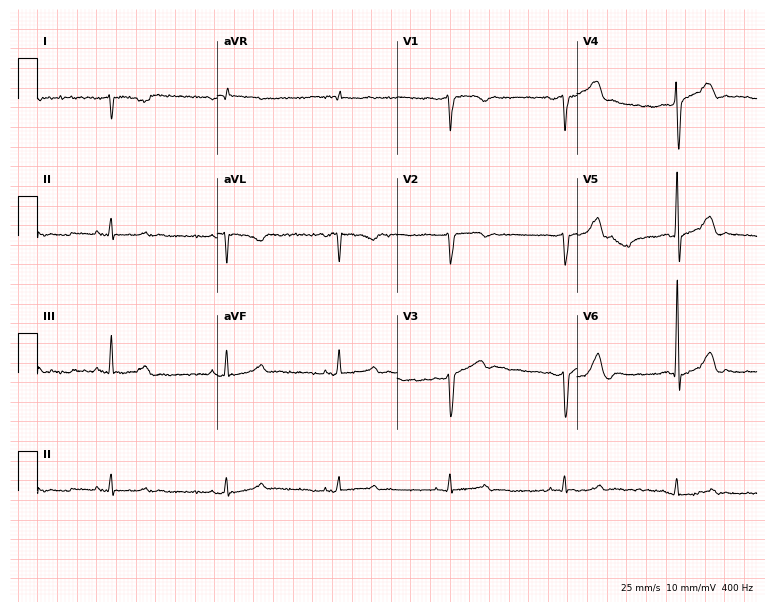
ECG (7.3-second recording at 400 Hz) — a male patient, 44 years old. Screened for six findings — first-degree AV block, right bundle branch block (RBBB), left bundle branch block (LBBB), sinus bradycardia, atrial fibrillation (AF), sinus tachycardia — none is recorded. Other findings, if any, are not listed.